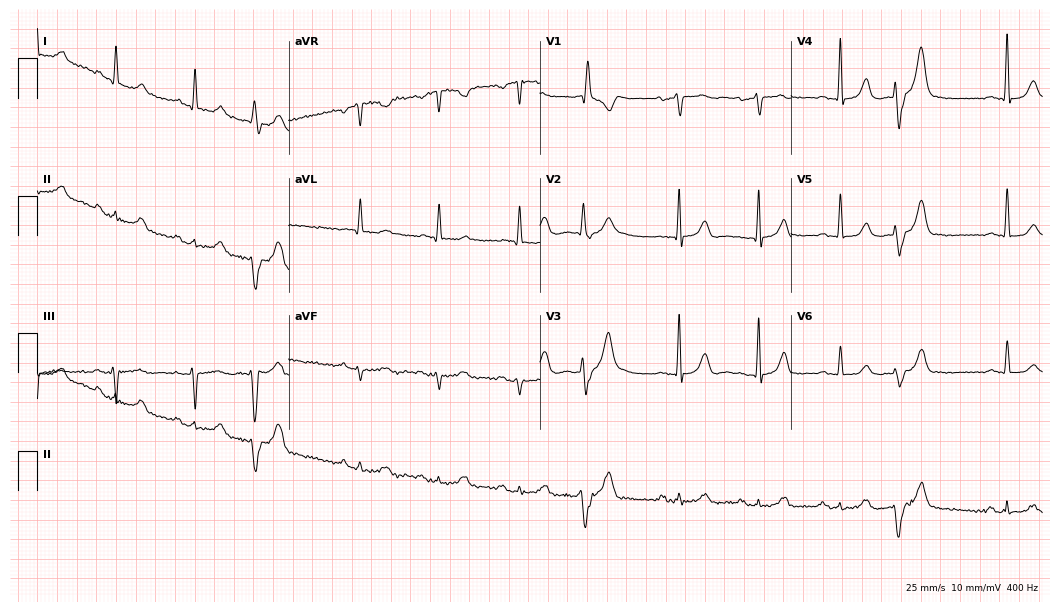
ECG (10.2-second recording at 400 Hz) — a male patient, 79 years old. Screened for six findings — first-degree AV block, right bundle branch block, left bundle branch block, sinus bradycardia, atrial fibrillation, sinus tachycardia — none is recorded.